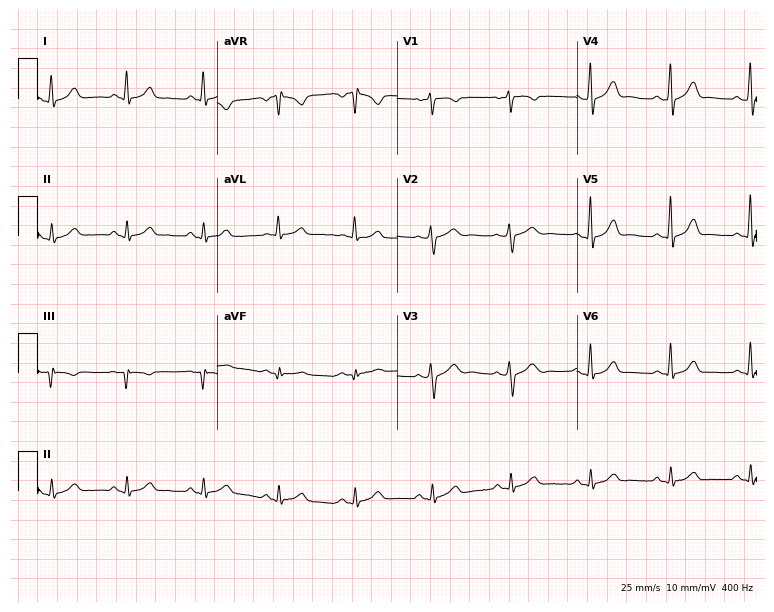
Resting 12-lead electrocardiogram (7.3-second recording at 400 Hz). Patient: a woman, 54 years old. None of these six findings is recorded: first-degree AV block, right bundle branch block, left bundle branch block, sinus bradycardia, atrial fibrillation, sinus tachycardia. Only these six findings were labelled.